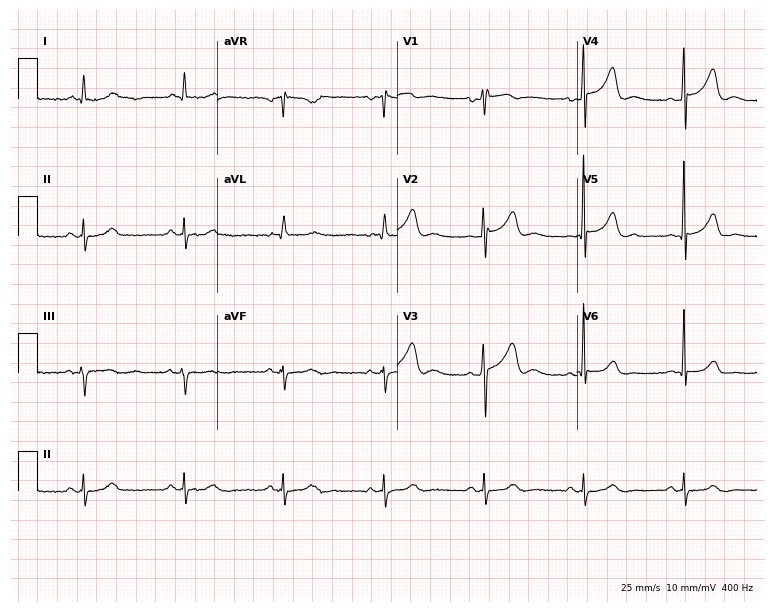
12-lead ECG from a 72-year-old male patient. Screened for six findings — first-degree AV block, right bundle branch block (RBBB), left bundle branch block (LBBB), sinus bradycardia, atrial fibrillation (AF), sinus tachycardia — none is recorded. Only these six findings were labelled.